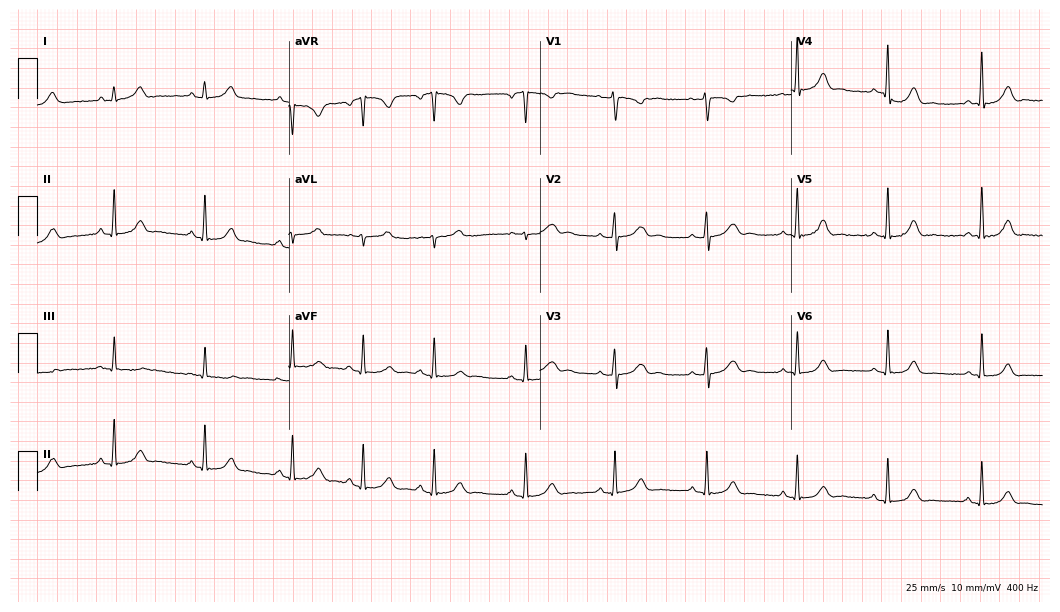
Standard 12-lead ECG recorded from a 34-year-old female (10.2-second recording at 400 Hz). Read as a normal ECG.